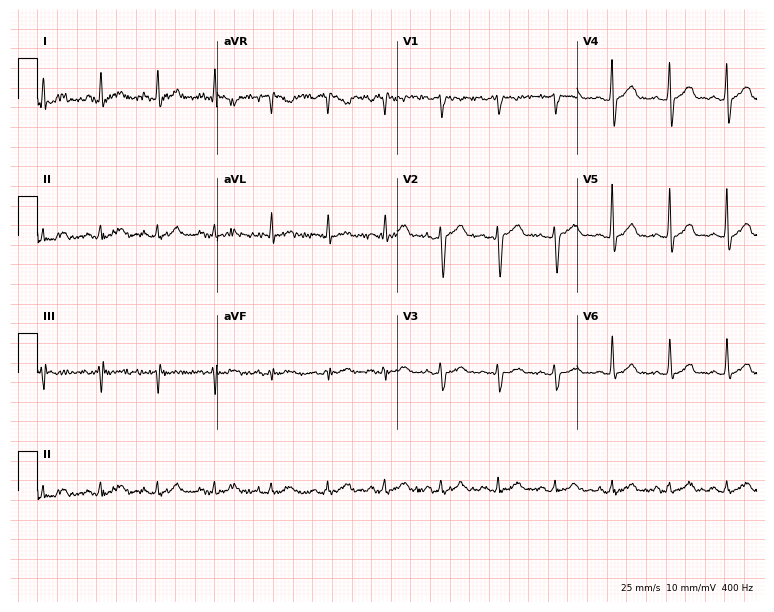
Standard 12-lead ECG recorded from a man, 37 years old (7.3-second recording at 400 Hz). The tracing shows sinus tachycardia (a sinus rate of 100 beats per minute or more).